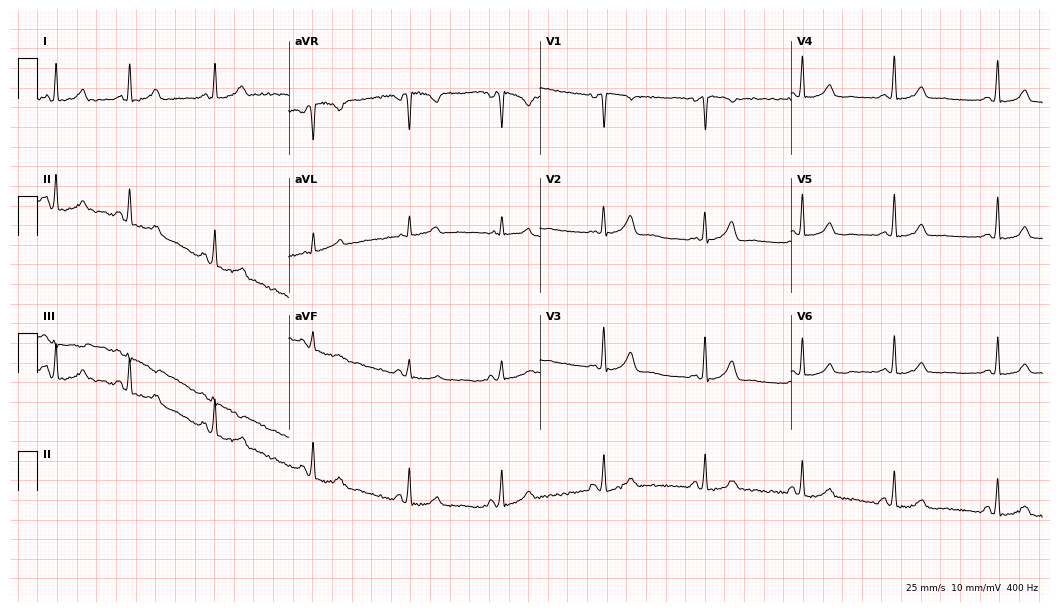
Standard 12-lead ECG recorded from an 18-year-old female patient. None of these six findings is recorded: first-degree AV block, right bundle branch block (RBBB), left bundle branch block (LBBB), sinus bradycardia, atrial fibrillation (AF), sinus tachycardia. Findings outside these six are not listed.